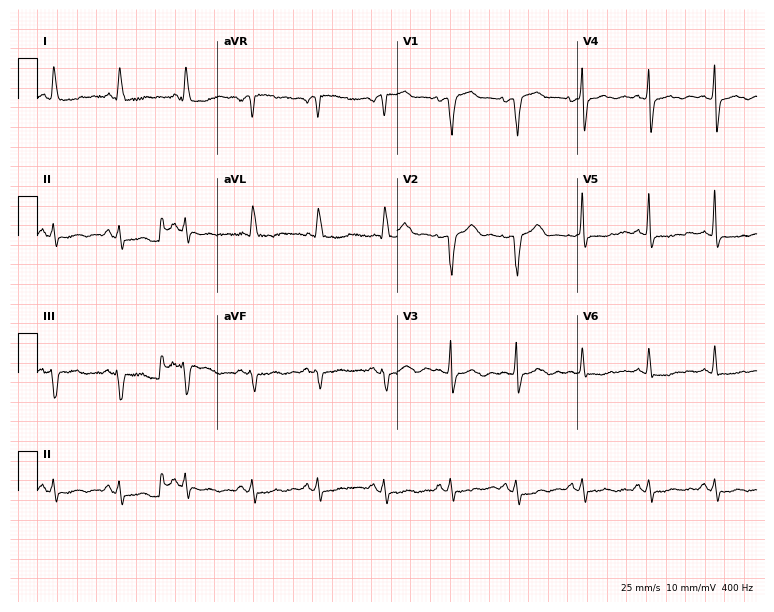
ECG — a female, 80 years old. Screened for six findings — first-degree AV block, right bundle branch block, left bundle branch block, sinus bradycardia, atrial fibrillation, sinus tachycardia — none is recorded. Other findings, if any, are not listed.